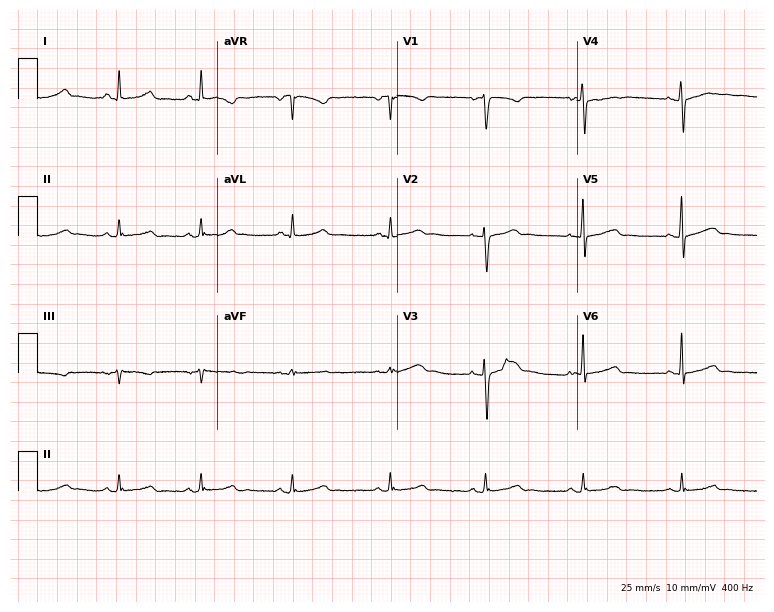
Resting 12-lead electrocardiogram (7.3-second recording at 400 Hz). Patient: a 41-year-old female. None of these six findings is recorded: first-degree AV block, right bundle branch block, left bundle branch block, sinus bradycardia, atrial fibrillation, sinus tachycardia.